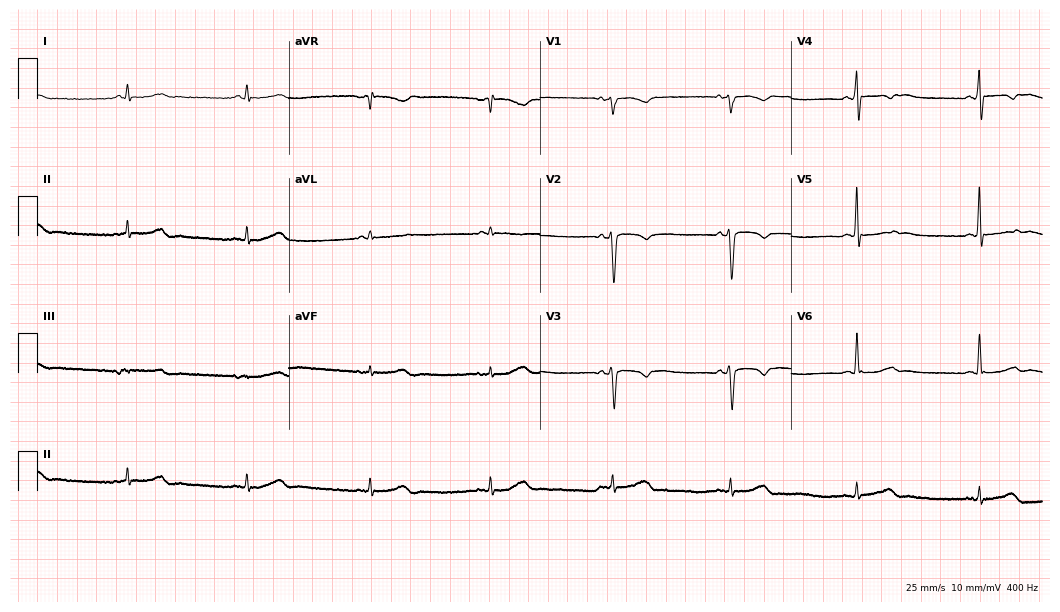
ECG — a 44-year-old man. Screened for six findings — first-degree AV block, right bundle branch block, left bundle branch block, sinus bradycardia, atrial fibrillation, sinus tachycardia — none is recorded. Only these six findings were labelled.